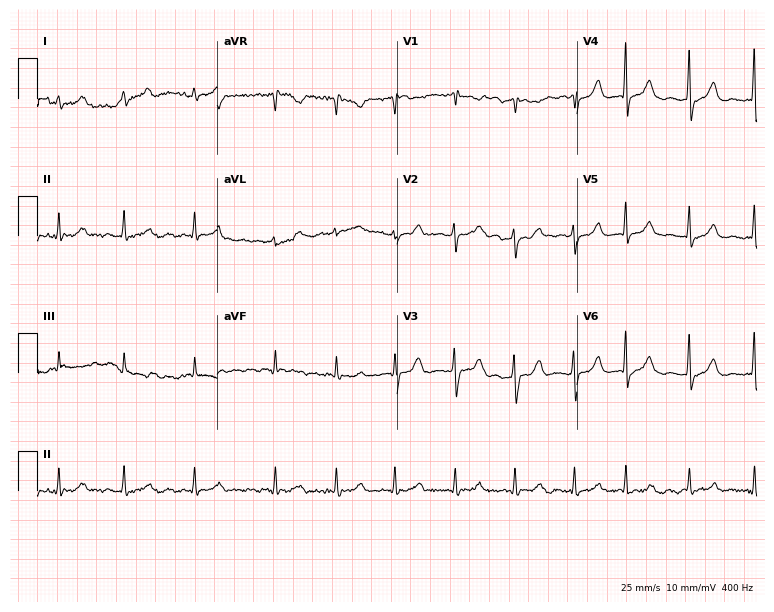
Electrocardiogram (7.3-second recording at 400 Hz), a woman, 82 years old. Interpretation includes atrial fibrillation.